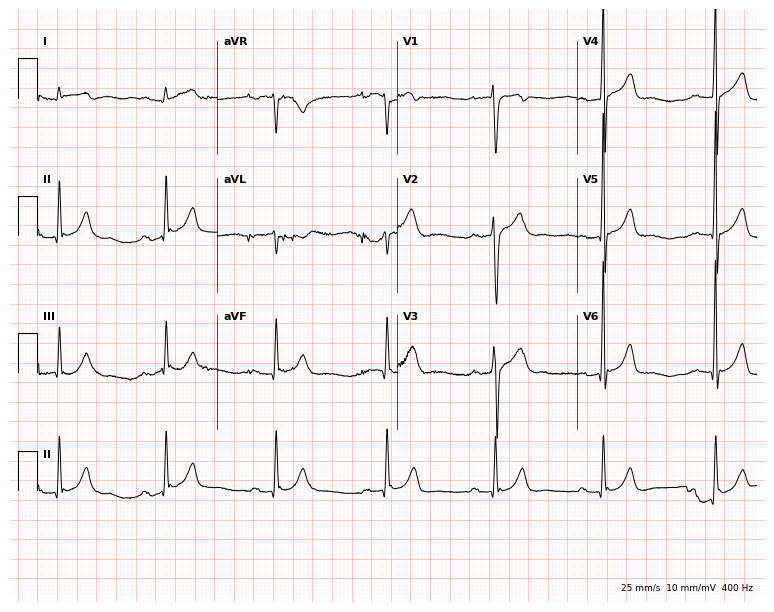
Resting 12-lead electrocardiogram. Patient: a male, 48 years old. The tracing shows first-degree AV block.